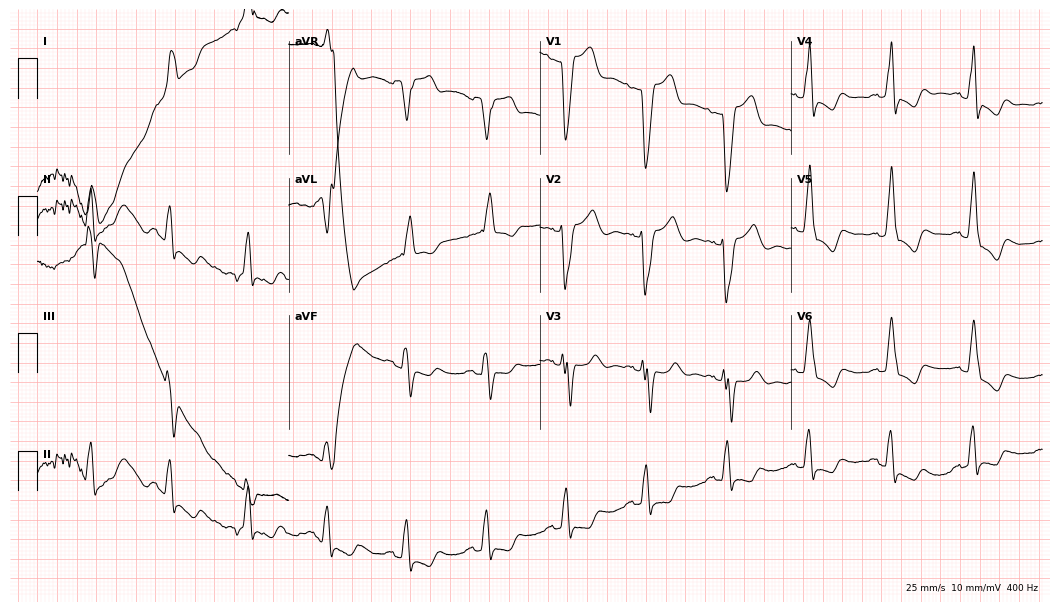
Standard 12-lead ECG recorded from an 83-year-old female patient (10.2-second recording at 400 Hz). The tracing shows left bundle branch block.